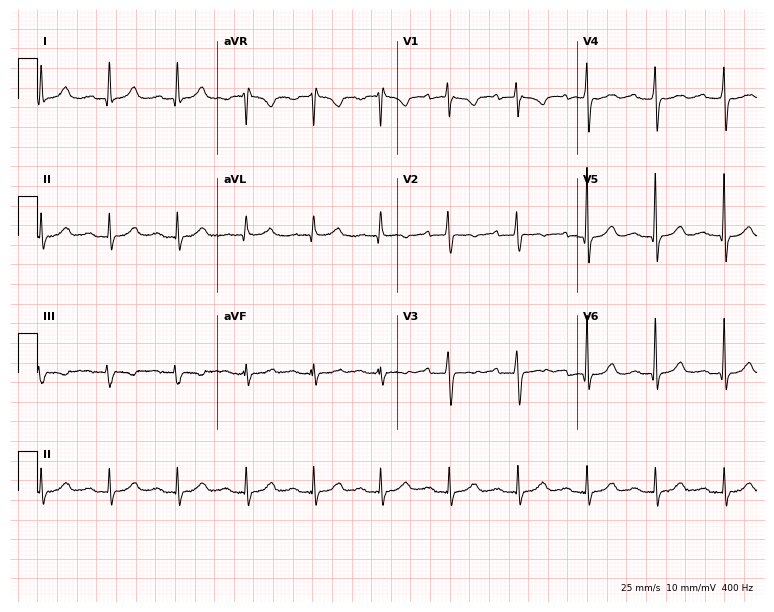
Standard 12-lead ECG recorded from a woman, 81 years old (7.3-second recording at 400 Hz). None of these six findings is recorded: first-degree AV block, right bundle branch block, left bundle branch block, sinus bradycardia, atrial fibrillation, sinus tachycardia. Only these six findings were labelled.